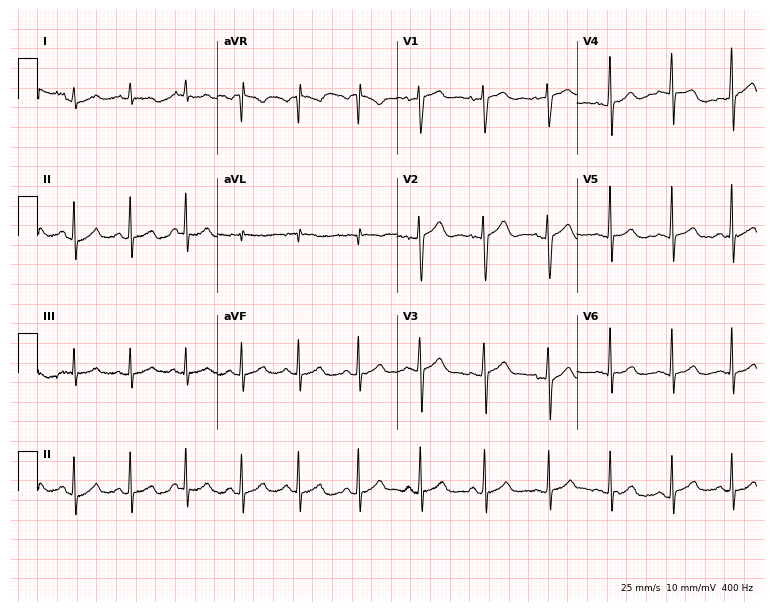
ECG — a 24-year-old female. Screened for six findings — first-degree AV block, right bundle branch block (RBBB), left bundle branch block (LBBB), sinus bradycardia, atrial fibrillation (AF), sinus tachycardia — none is recorded. Other findings, if any, are not listed.